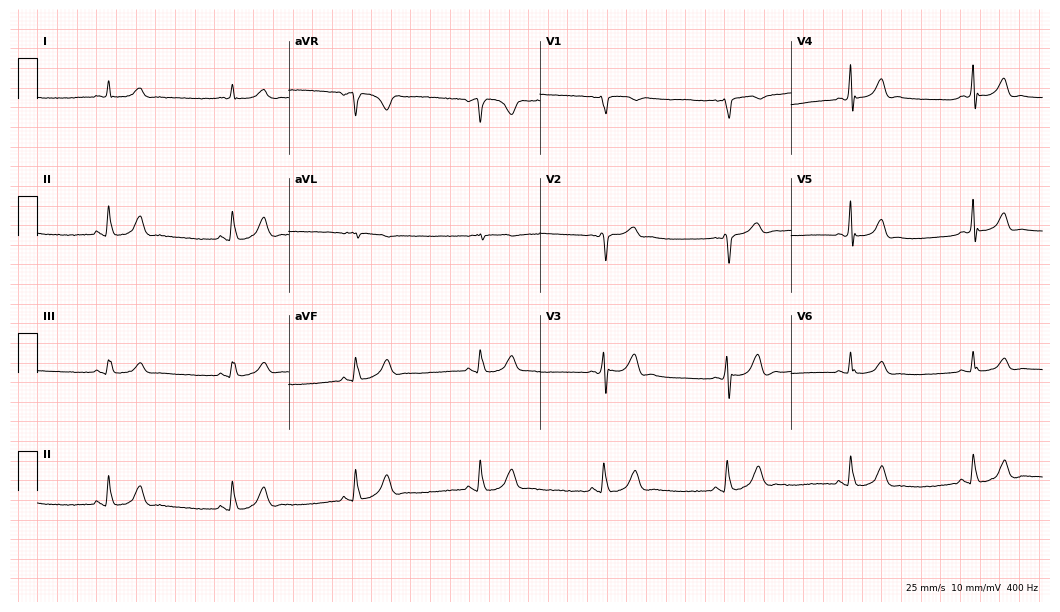
12-lead ECG from a 72-year-old male patient (10.2-second recording at 400 Hz). Shows sinus bradycardia (a sinus rate of 50 beats per minute or less).